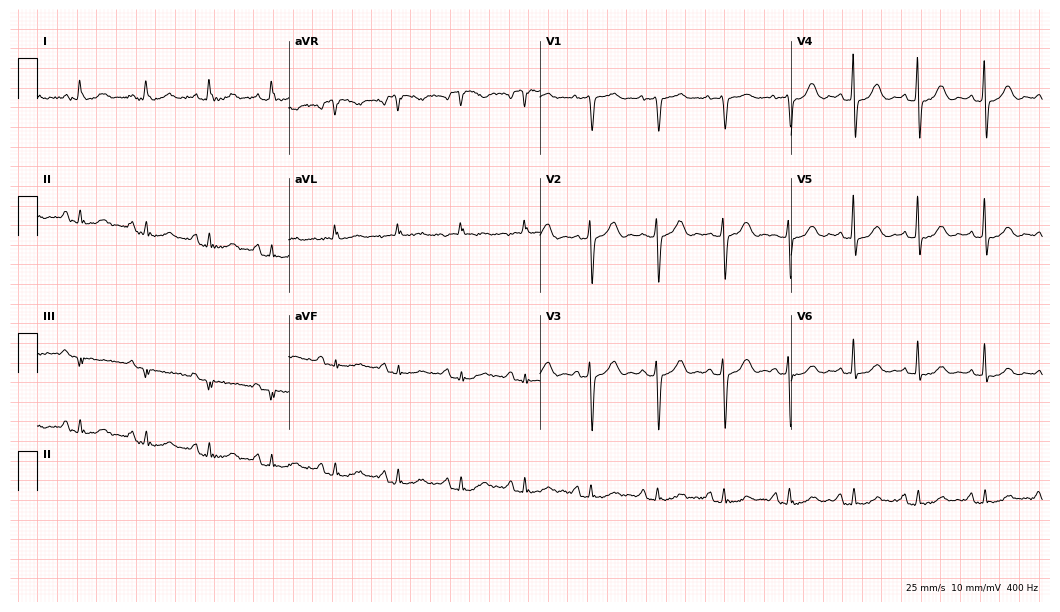
Resting 12-lead electrocardiogram. Patient: a 59-year-old female. Read as a normal ECG.